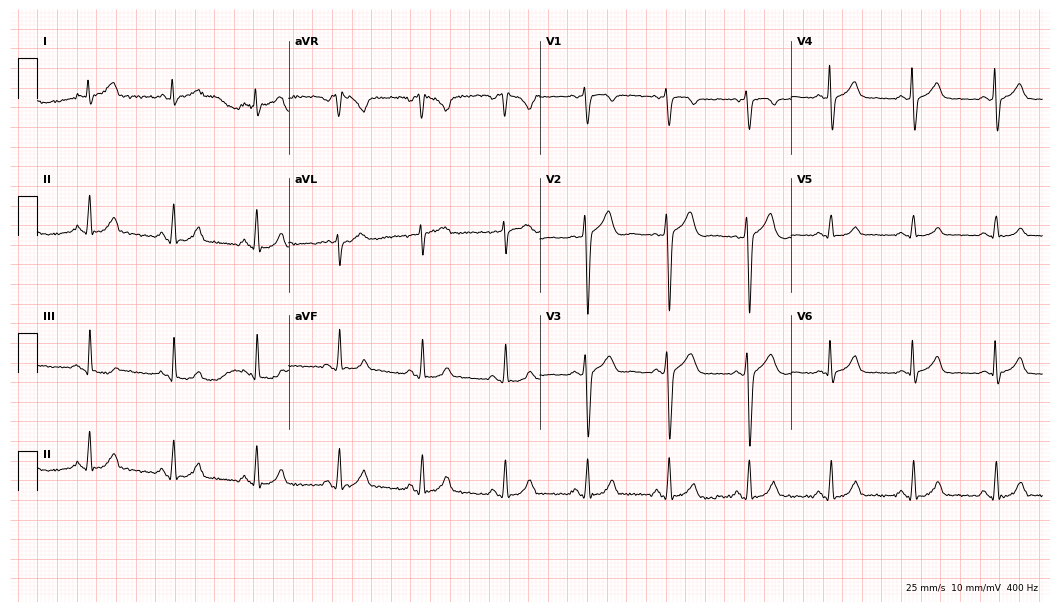
12-lead ECG from a man, 38 years old. Recorded interpretation: within normal limits.